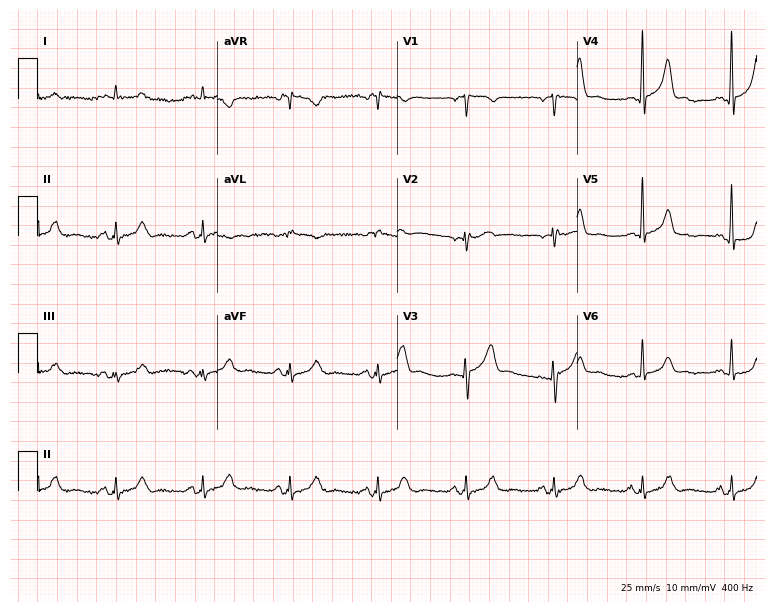
12-lead ECG from a 76-year-old man (7.3-second recording at 400 Hz). No first-degree AV block, right bundle branch block (RBBB), left bundle branch block (LBBB), sinus bradycardia, atrial fibrillation (AF) or sinus tachycardia recorded for this tracing. Other findings, if any, are not listed.